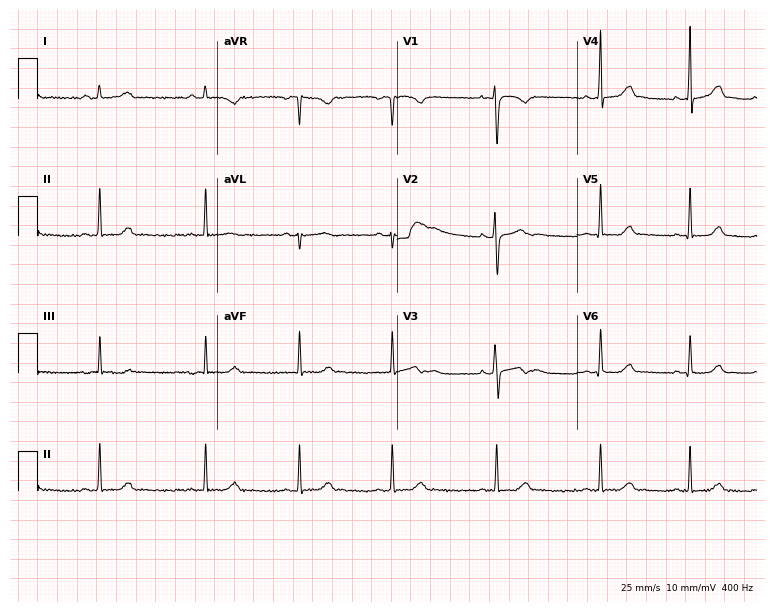
12-lead ECG from a female patient, 26 years old. Recorded interpretation: within normal limits.